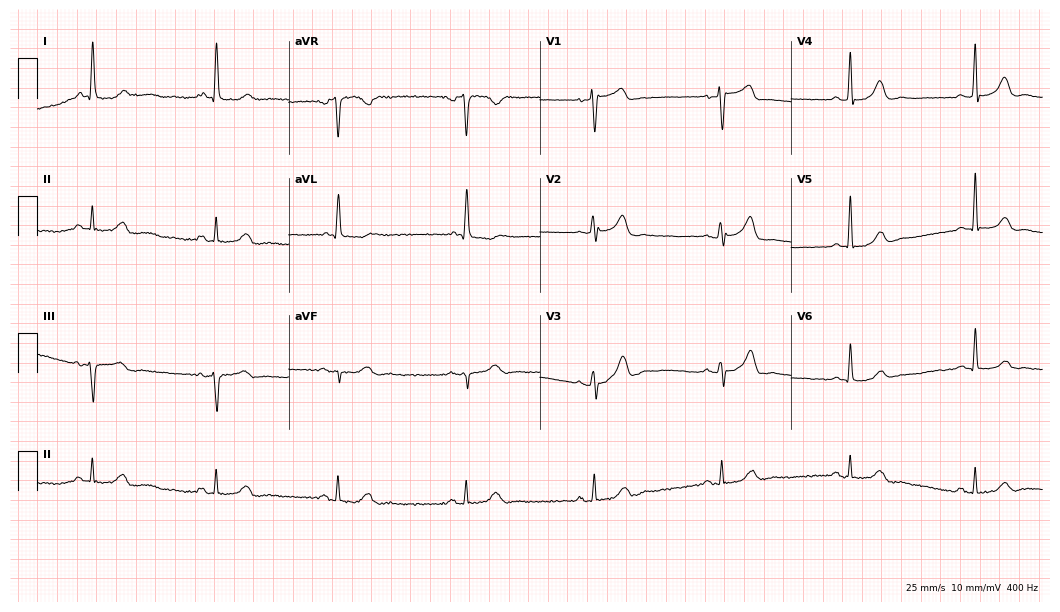
12-lead ECG from a 79-year-old female. Shows sinus bradycardia (a sinus rate of 50 beats per minute or less).